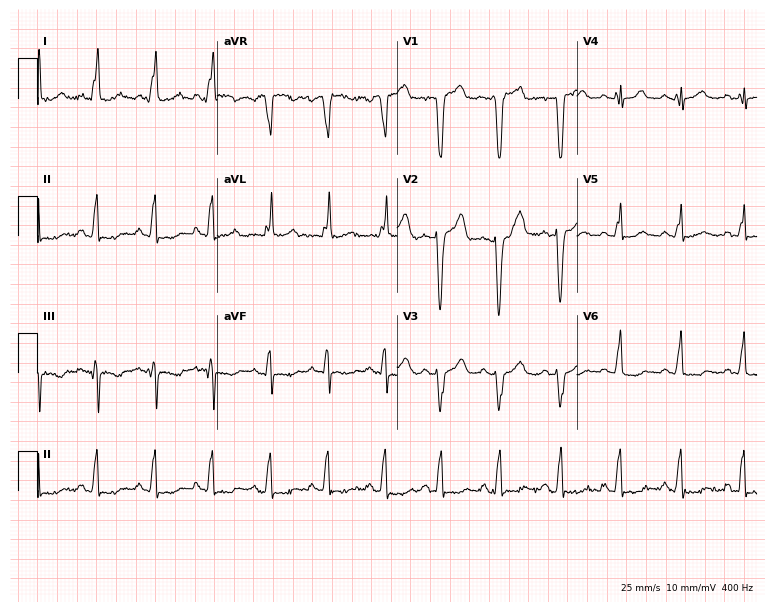
Resting 12-lead electrocardiogram (7.3-second recording at 400 Hz). Patient: a woman, 36 years old. The tracing shows sinus tachycardia (a sinus rate of 100 beats per minute or more).